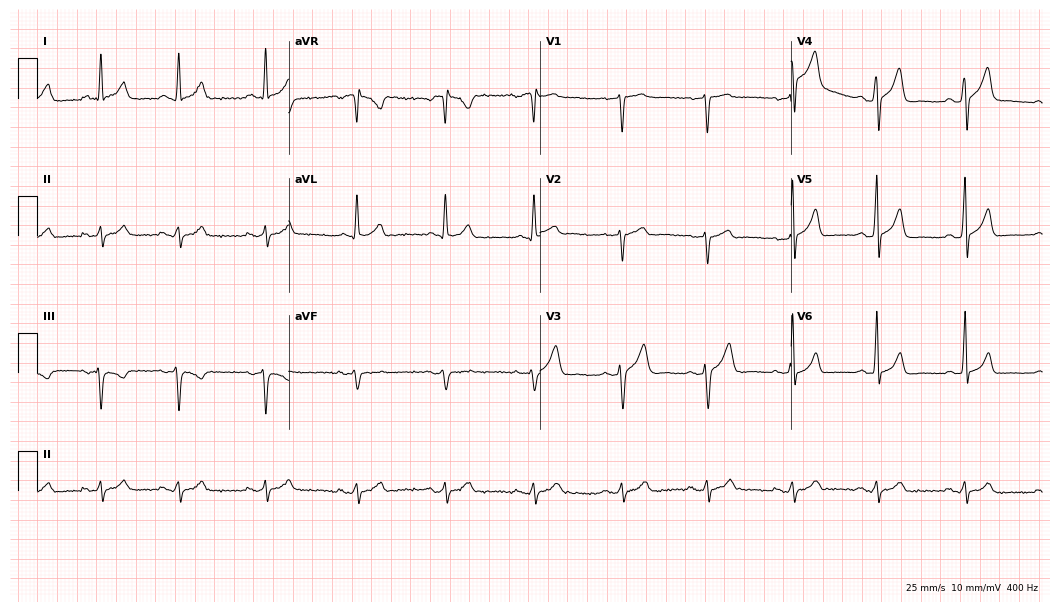
Standard 12-lead ECG recorded from a 45-year-old man (10.2-second recording at 400 Hz). None of these six findings is recorded: first-degree AV block, right bundle branch block, left bundle branch block, sinus bradycardia, atrial fibrillation, sinus tachycardia.